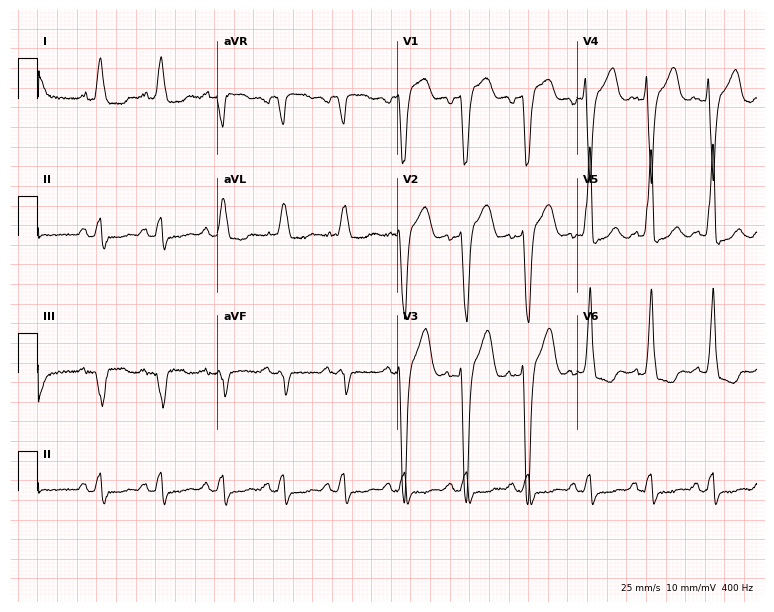
12-lead ECG from a male patient, 72 years old. Shows left bundle branch block.